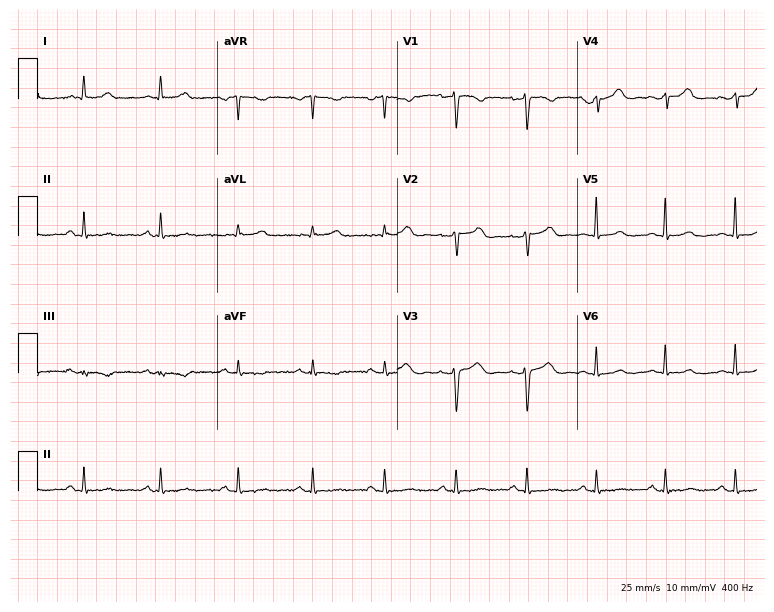
ECG — a woman, 43 years old. Labelled as a normal ECG.